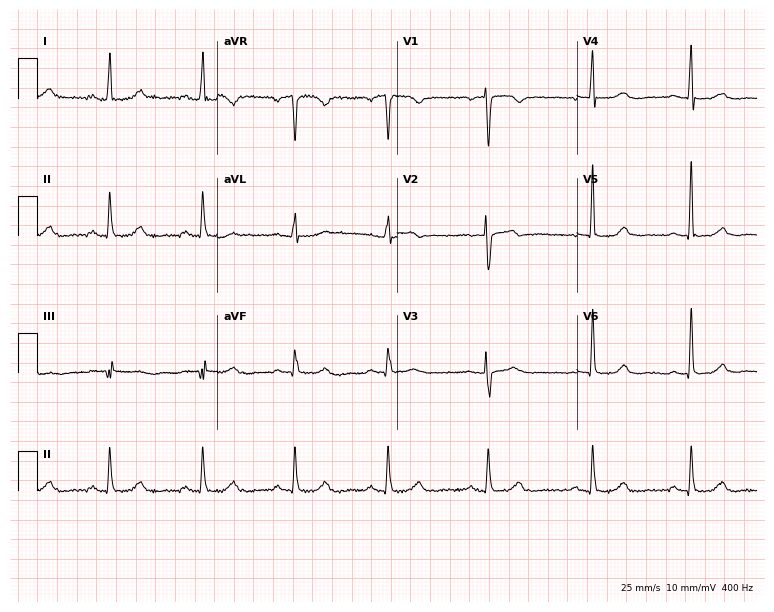
12-lead ECG from a 58-year-old female (7.3-second recording at 400 Hz). Recorded interpretation: within normal limits.